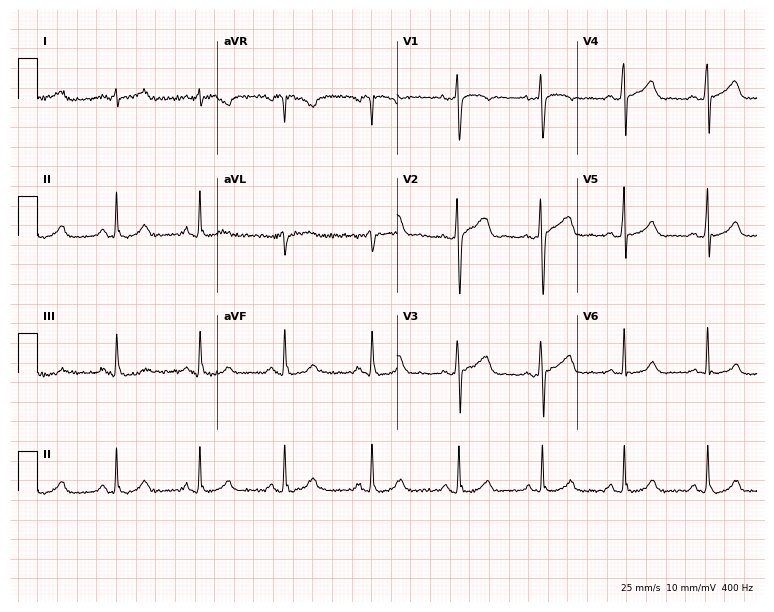
ECG — a man, 33 years old. Labelled as a normal ECG.